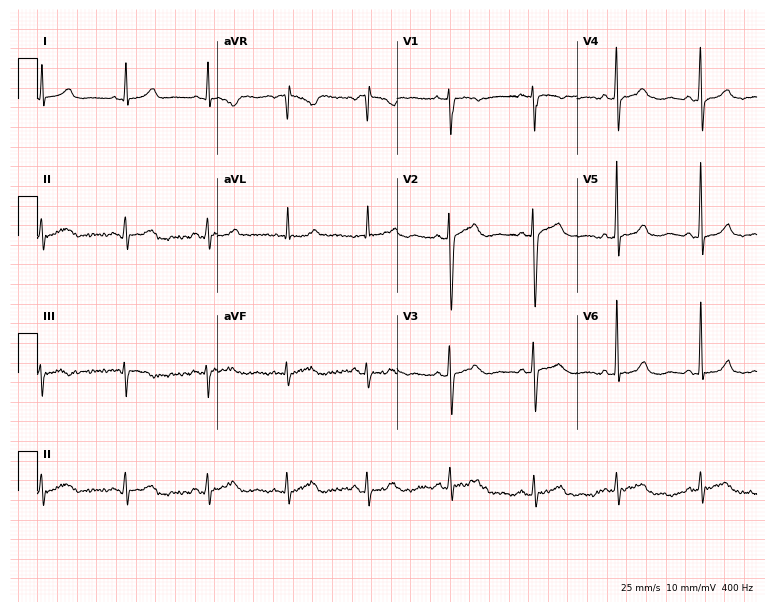
12-lead ECG from a 42-year-old female patient. Labelled as a normal ECG.